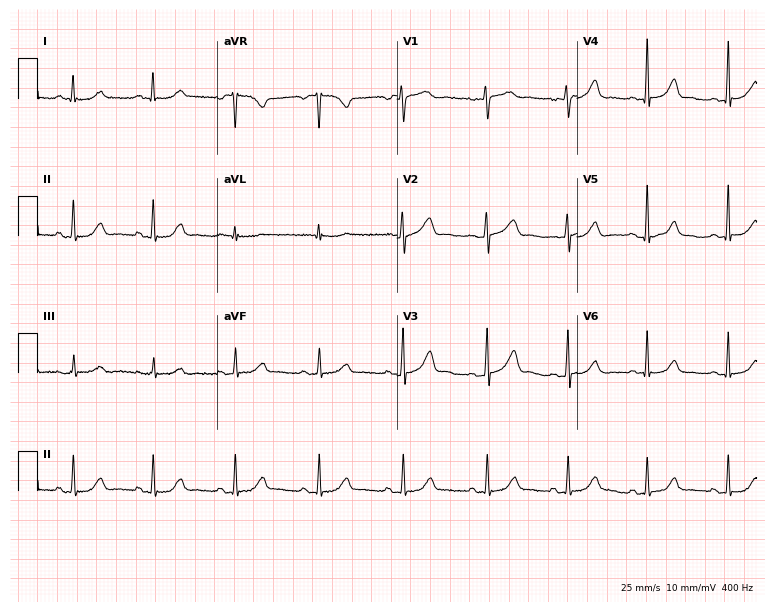
Electrocardiogram, a 40-year-old woman. Overall reading on record: normal ECG.